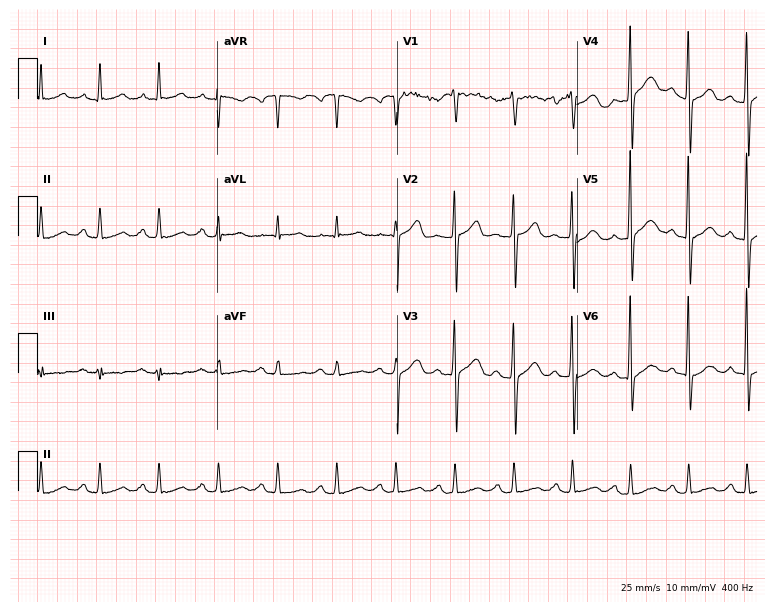
12-lead ECG (7.3-second recording at 400 Hz) from a 60-year-old male. Findings include sinus tachycardia (a sinus rate of 100 beats per minute or more).